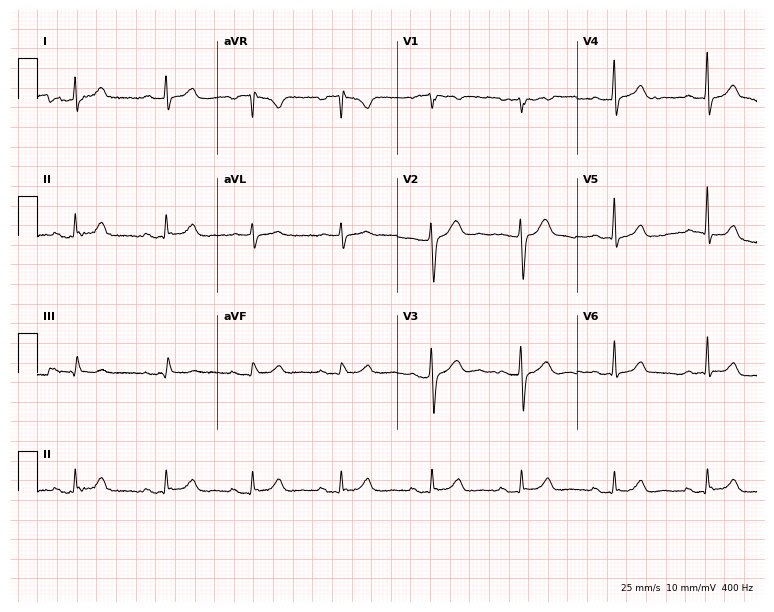
12-lead ECG from a male patient, 36 years old (7.3-second recording at 400 Hz). Recorded interpretation: within normal limits.